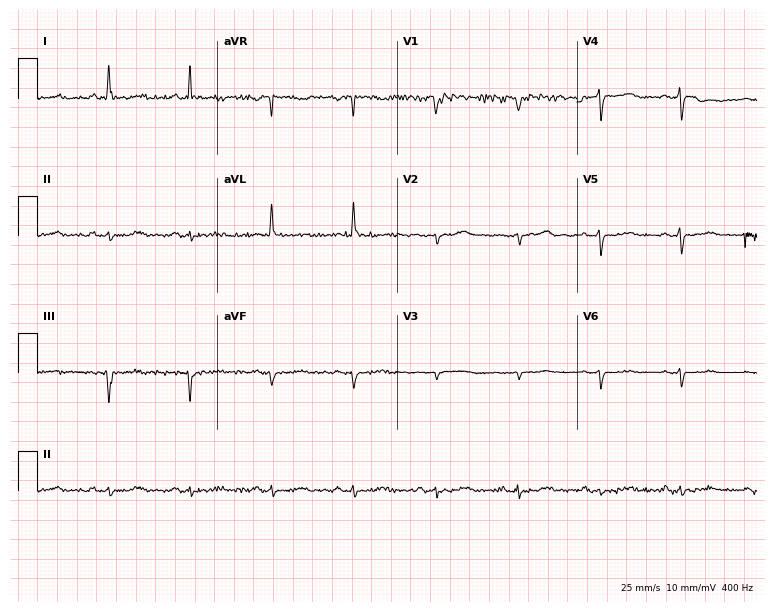
12-lead ECG (7.3-second recording at 400 Hz) from a female patient, 65 years old. Screened for six findings — first-degree AV block, right bundle branch block, left bundle branch block, sinus bradycardia, atrial fibrillation, sinus tachycardia — none is recorded.